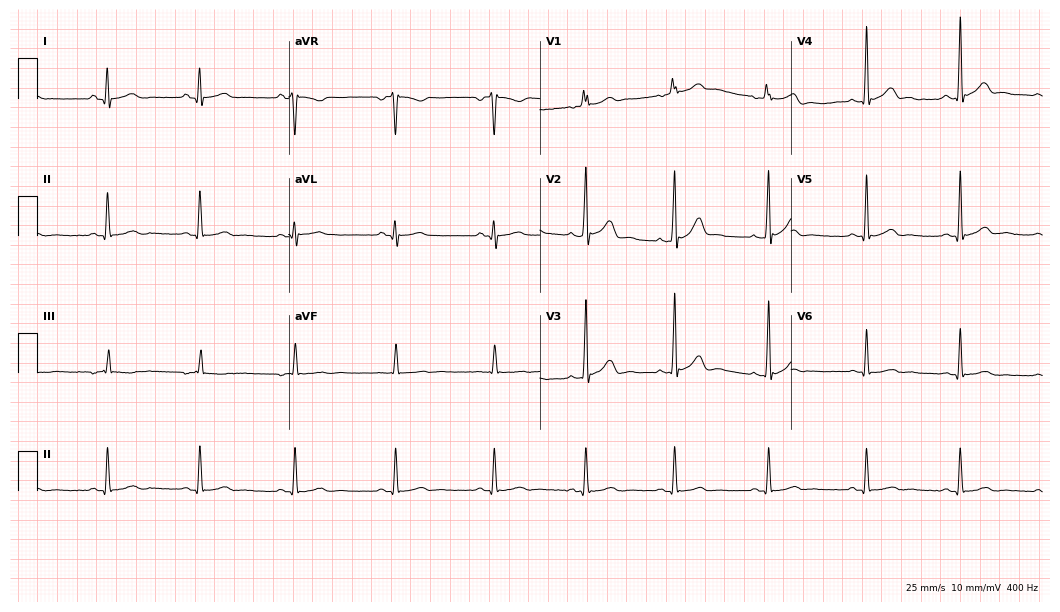
Electrocardiogram, a 31-year-old male. Of the six screened findings (first-degree AV block, right bundle branch block (RBBB), left bundle branch block (LBBB), sinus bradycardia, atrial fibrillation (AF), sinus tachycardia), none is recorded. Other findings, if any, are not listed.